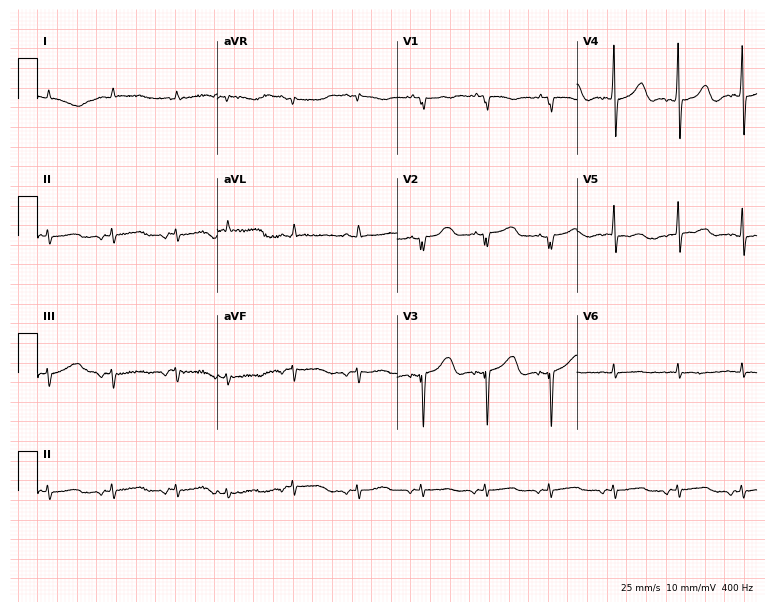
Standard 12-lead ECG recorded from a 76-year-old man (7.3-second recording at 400 Hz). None of these six findings is recorded: first-degree AV block, right bundle branch block, left bundle branch block, sinus bradycardia, atrial fibrillation, sinus tachycardia.